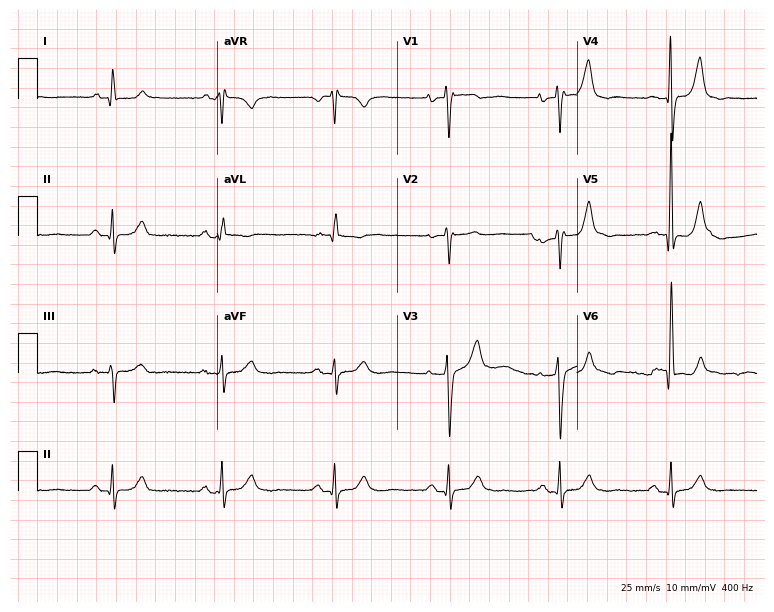
Resting 12-lead electrocardiogram (7.3-second recording at 400 Hz). Patient: a female, 75 years old. None of these six findings is recorded: first-degree AV block, right bundle branch block, left bundle branch block, sinus bradycardia, atrial fibrillation, sinus tachycardia.